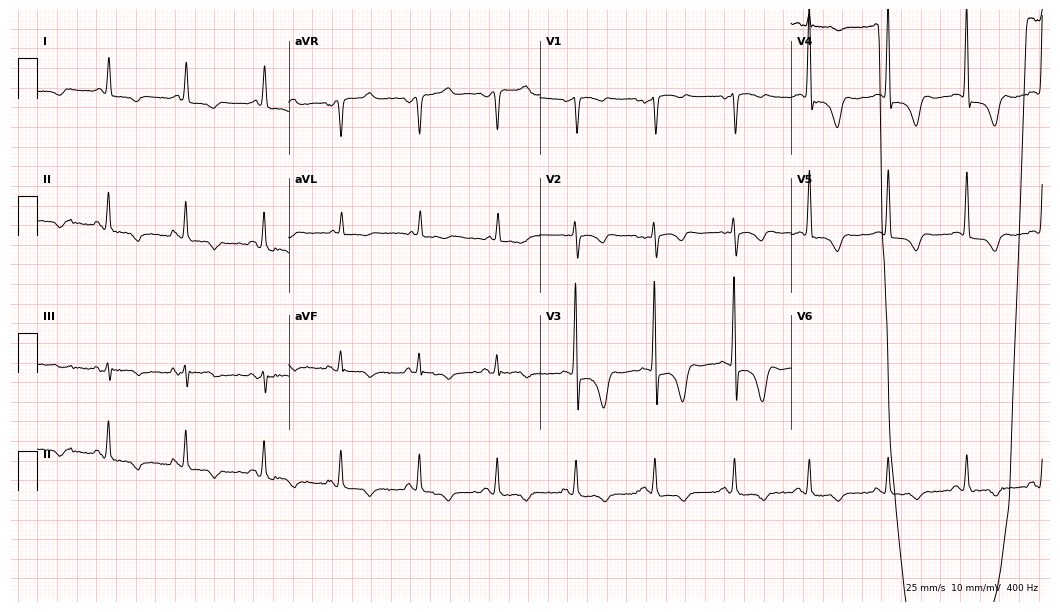
12-lead ECG from a female patient, 83 years old. Screened for six findings — first-degree AV block, right bundle branch block, left bundle branch block, sinus bradycardia, atrial fibrillation, sinus tachycardia — none is recorded.